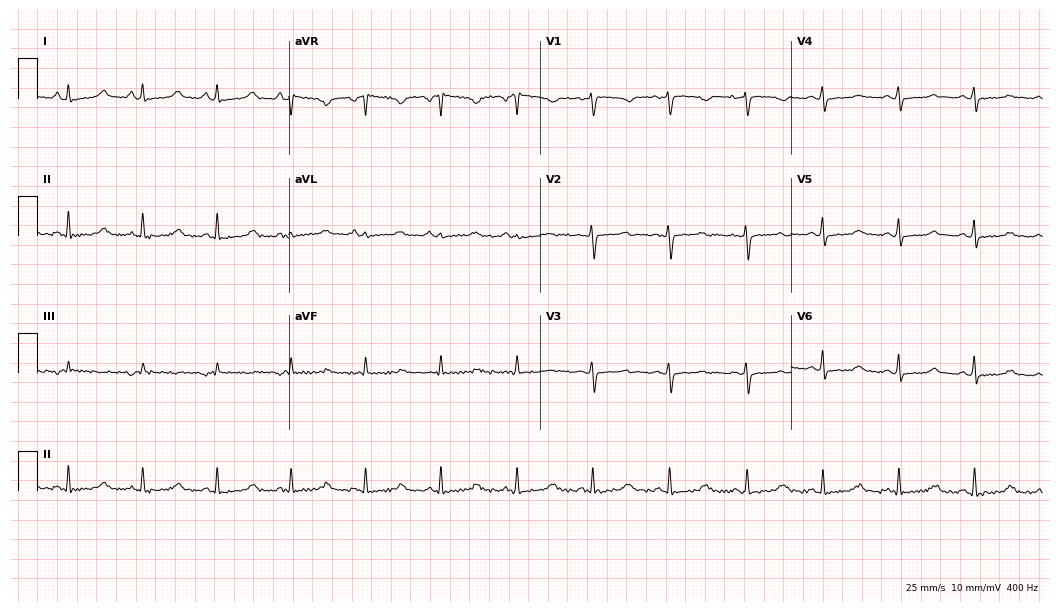
Electrocardiogram (10.2-second recording at 400 Hz), a female, 49 years old. Overall reading on record: normal ECG.